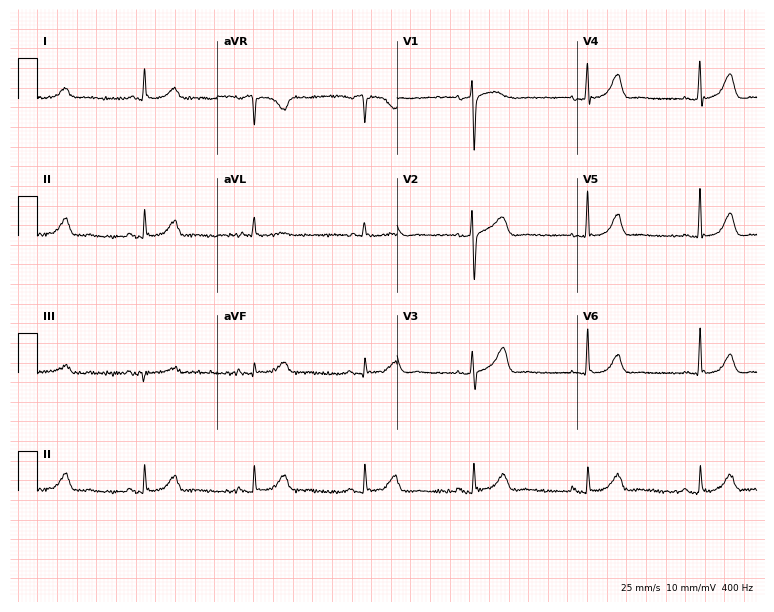
12-lead ECG from a female patient, 79 years old. No first-degree AV block, right bundle branch block, left bundle branch block, sinus bradycardia, atrial fibrillation or sinus tachycardia recorded for this tracing. Other findings, if any, are not listed.